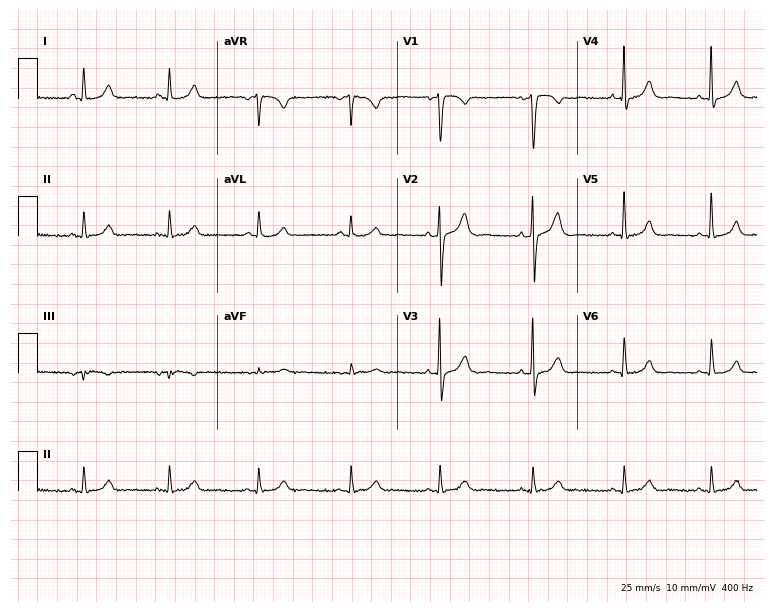
12-lead ECG from a 49-year-old female patient (7.3-second recording at 400 Hz). Recorded interpretation: within normal limits.